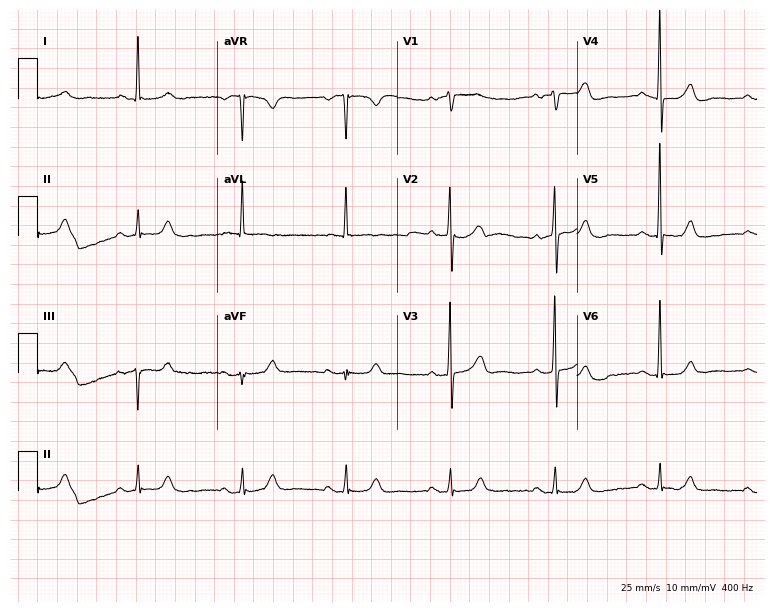
ECG — a female patient, 79 years old. Screened for six findings — first-degree AV block, right bundle branch block, left bundle branch block, sinus bradycardia, atrial fibrillation, sinus tachycardia — none is recorded. Only these six findings were labelled.